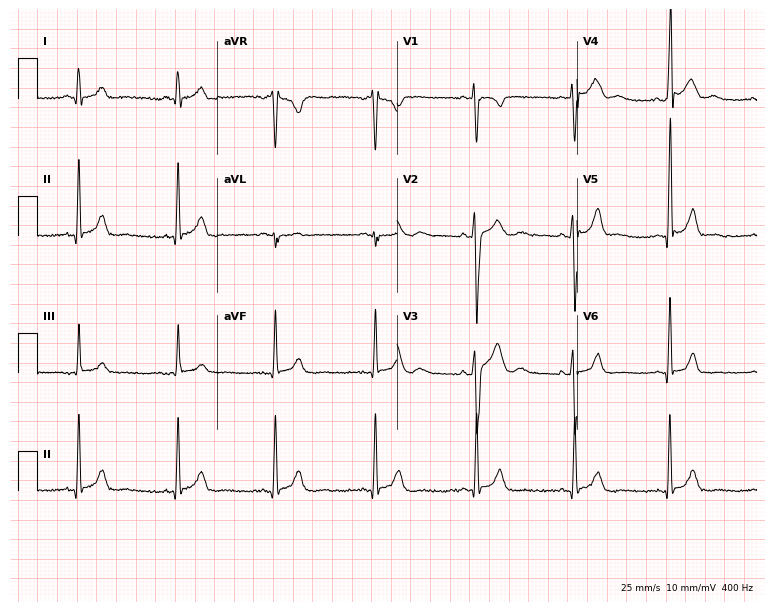
Standard 12-lead ECG recorded from a male patient, 21 years old (7.3-second recording at 400 Hz). None of these six findings is recorded: first-degree AV block, right bundle branch block, left bundle branch block, sinus bradycardia, atrial fibrillation, sinus tachycardia.